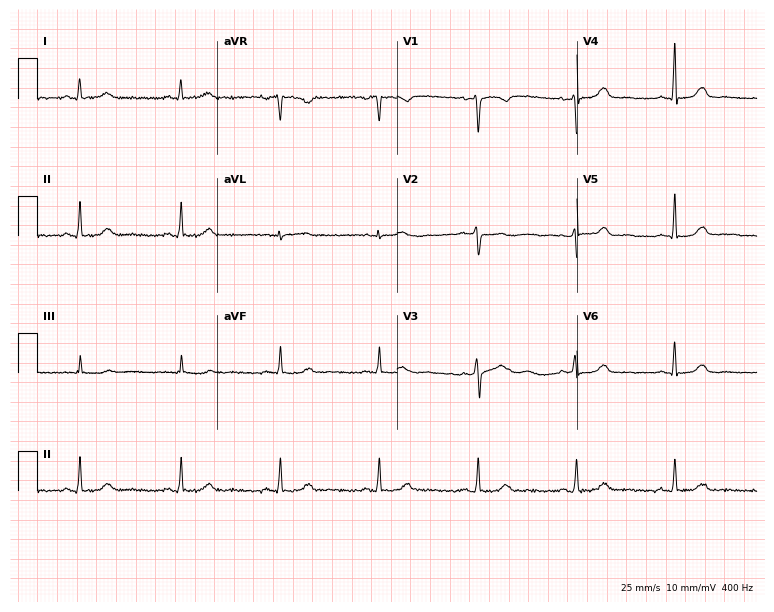
Electrocardiogram, a 41-year-old female patient. Of the six screened findings (first-degree AV block, right bundle branch block (RBBB), left bundle branch block (LBBB), sinus bradycardia, atrial fibrillation (AF), sinus tachycardia), none is recorded.